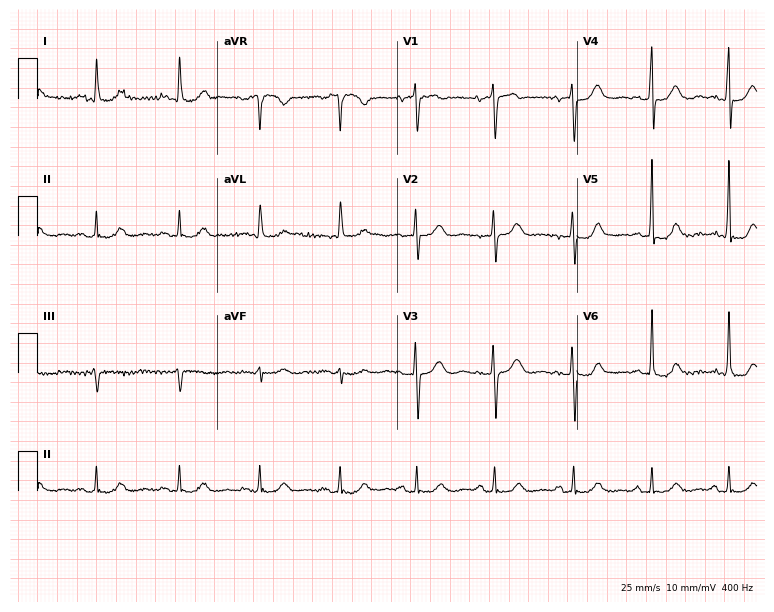
12-lead ECG from an 85-year-old female. No first-degree AV block, right bundle branch block, left bundle branch block, sinus bradycardia, atrial fibrillation or sinus tachycardia recorded for this tracing.